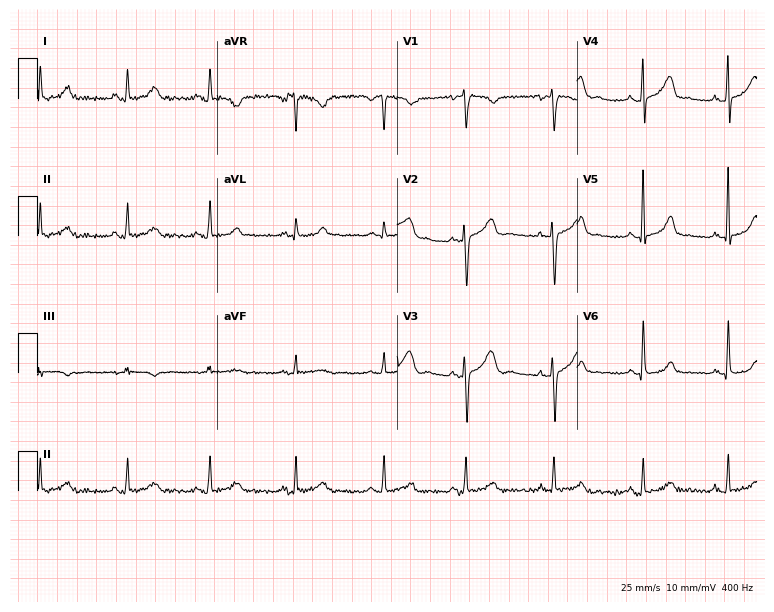
Electrocardiogram (7.3-second recording at 400 Hz), a 31-year-old woman. Overall reading on record: normal ECG.